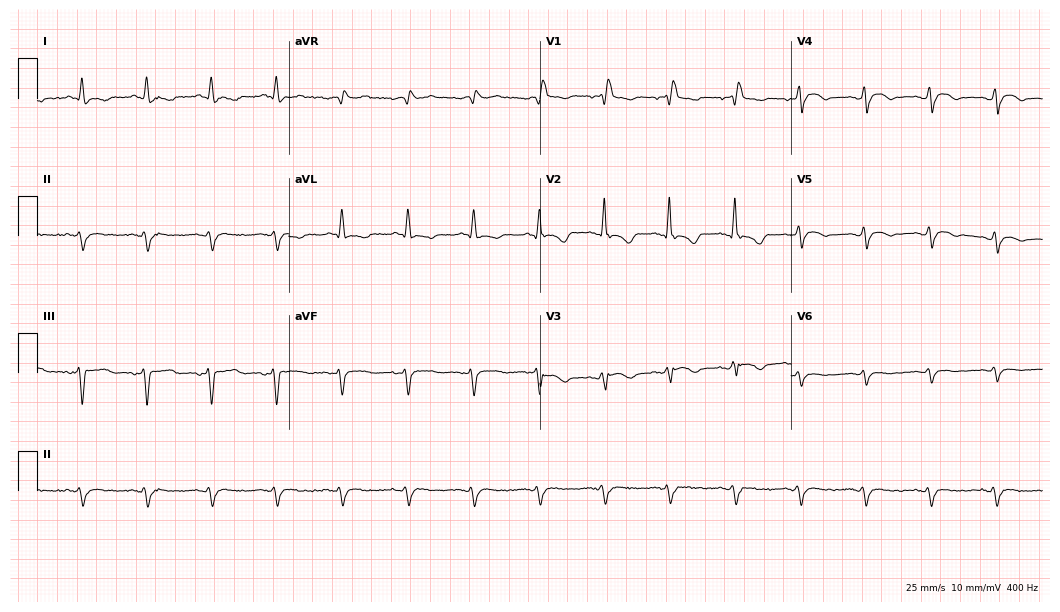
Electrocardiogram, a female patient, 82 years old. Interpretation includes right bundle branch block.